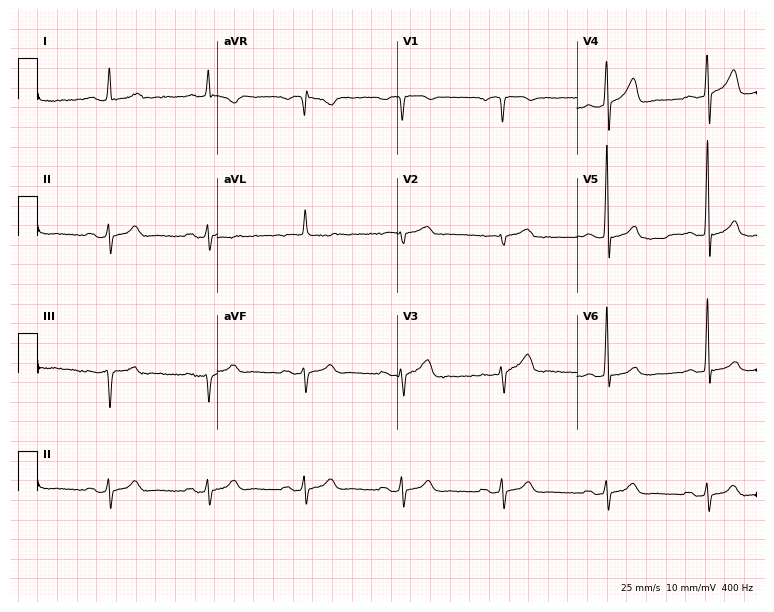
12-lead ECG from a male patient, 62 years old. Screened for six findings — first-degree AV block, right bundle branch block, left bundle branch block, sinus bradycardia, atrial fibrillation, sinus tachycardia — none is recorded. Only these six findings were labelled.